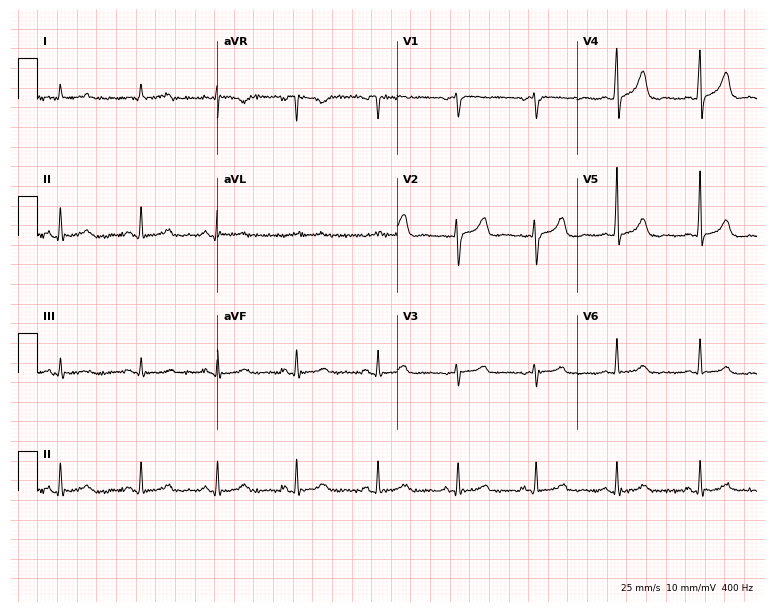
ECG — a female, 54 years old. Labelled as a normal ECG.